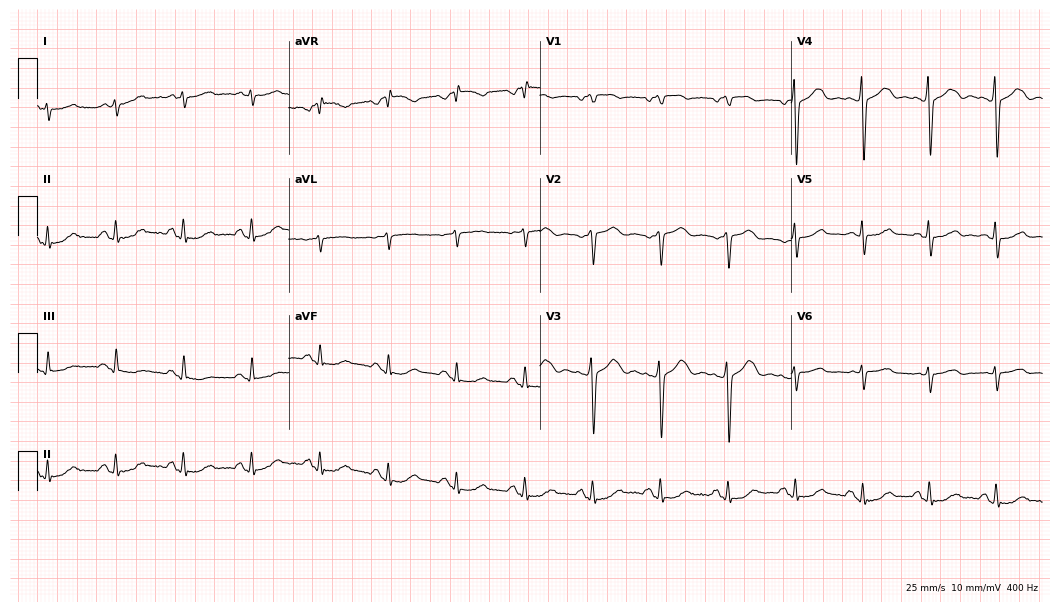
Standard 12-lead ECG recorded from a female, 45 years old. None of these six findings is recorded: first-degree AV block, right bundle branch block (RBBB), left bundle branch block (LBBB), sinus bradycardia, atrial fibrillation (AF), sinus tachycardia.